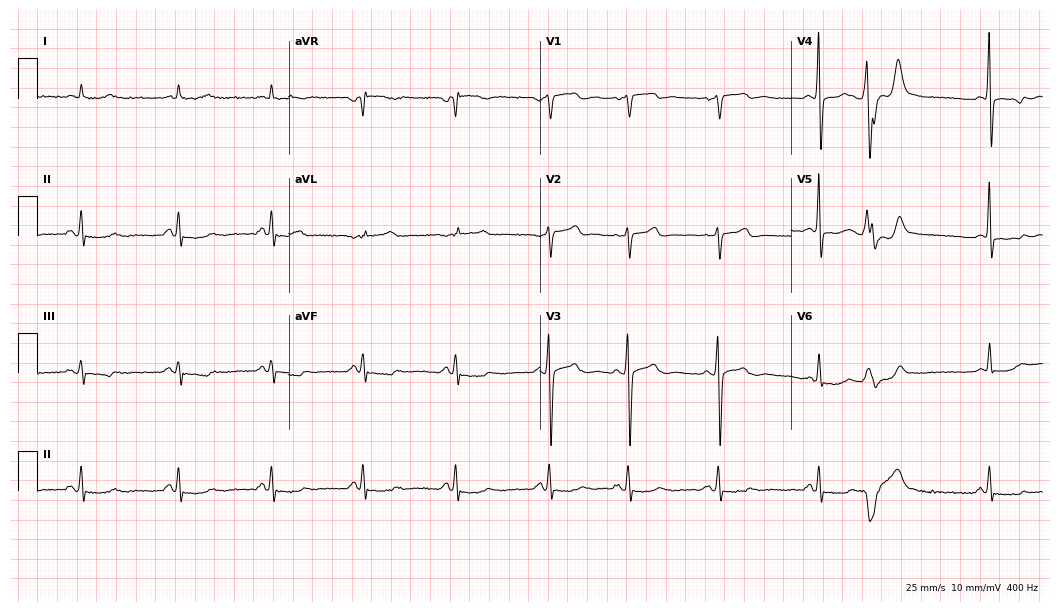
12-lead ECG from a male patient, 73 years old. No first-degree AV block, right bundle branch block (RBBB), left bundle branch block (LBBB), sinus bradycardia, atrial fibrillation (AF) or sinus tachycardia recorded for this tracing. Only these six findings were labelled.